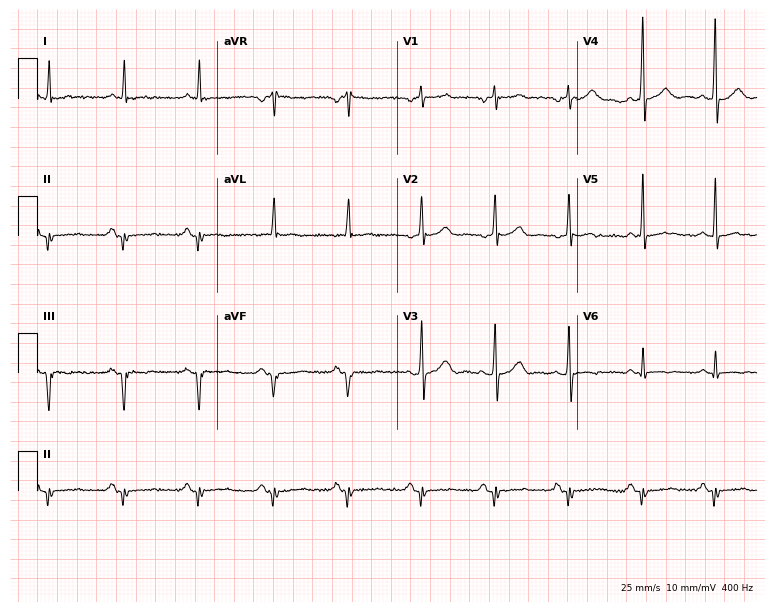
12-lead ECG from a man, 84 years old. No first-degree AV block, right bundle branch block (RBBB), left bundle branch block (LBBB), sinus bradycardia, atrial fibrillation (AF) or sinus tachycardia recorded for this tracing.